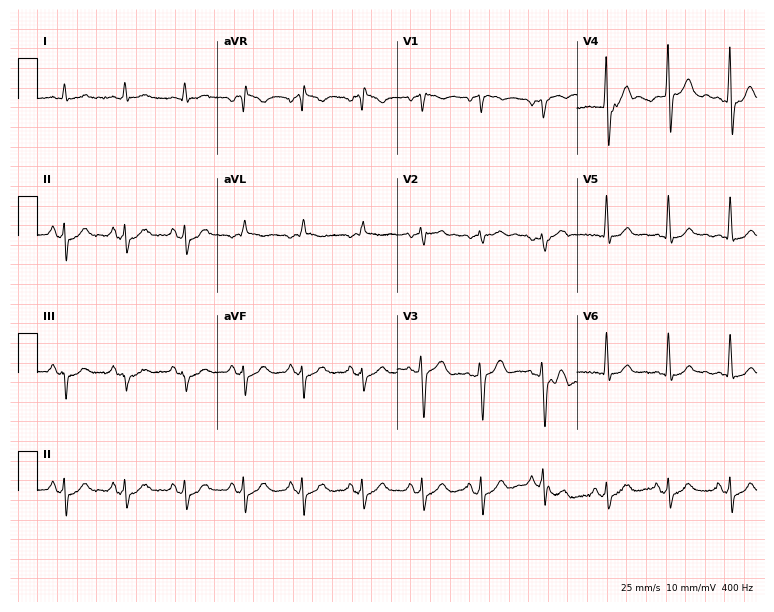
Standard 12-lead ECG recorded from a man, 71 years old. None of these six findings is recorded: first-degree AV block, right bundle branch block, left bundle branch block, sinus bradycardia, atrial fibrillation, sinus tachycardia.